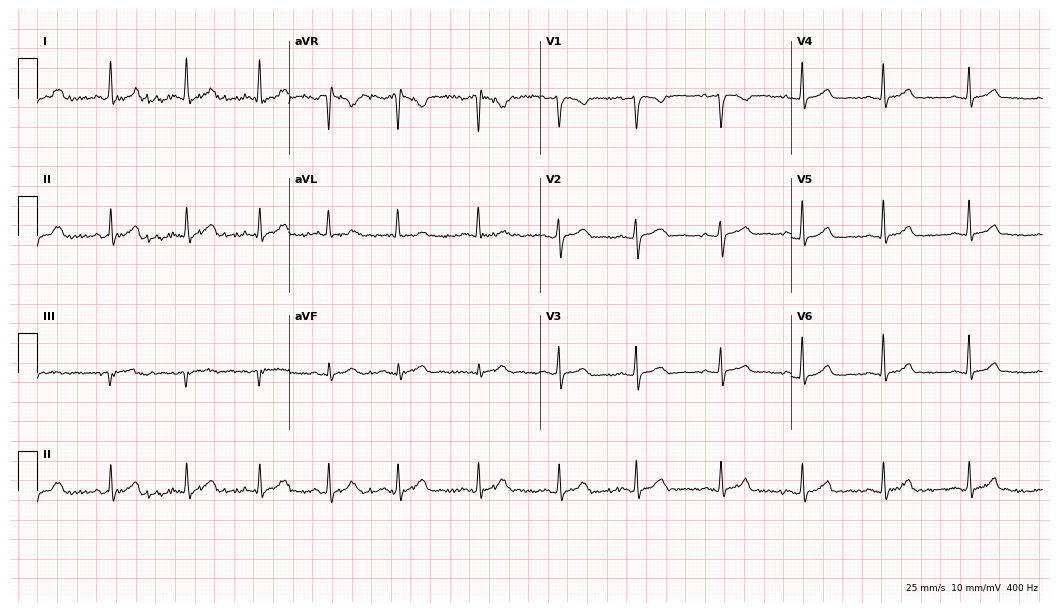
12-lead ECG from a female, 18 years old. Labelled as a normal ECG.